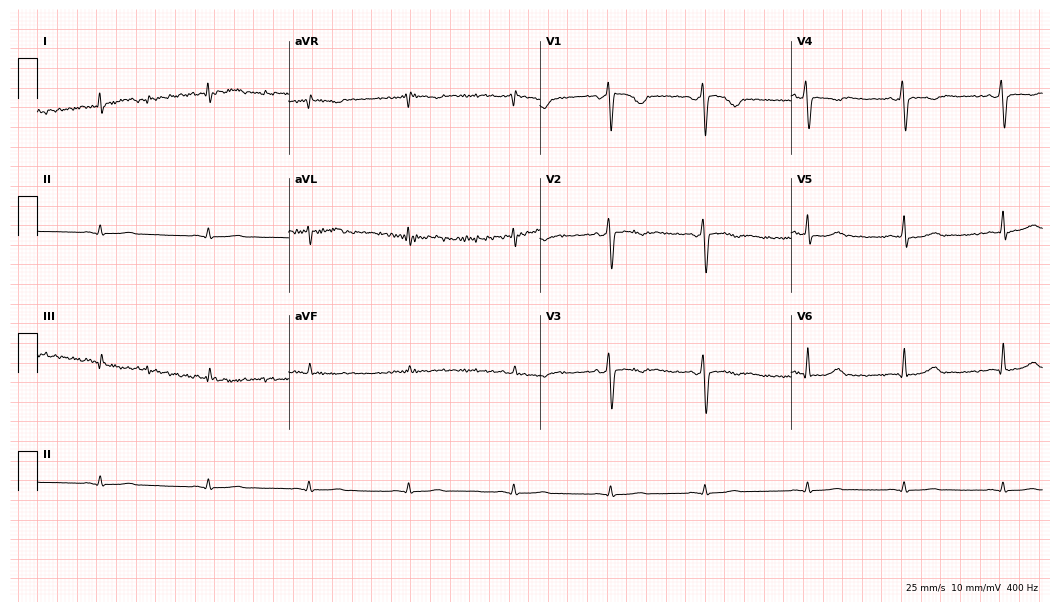
Electrocardiogram, a woman, 42 years old. Of the six screened findings (first-degree AV block, right bundle branch block, left bundle branch block, sinus bradycardia, atrial fibrillation, sinus tachycardia), none is recorded. Other findings, if any, are not listed.